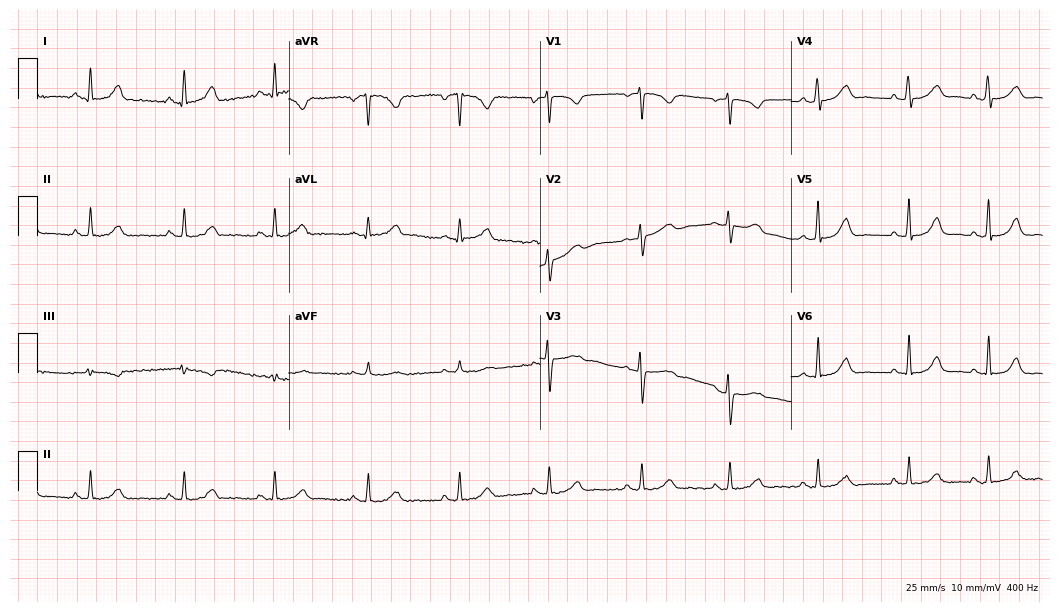
ECG — a 45-year-old female. Labelled as a normal ECG.